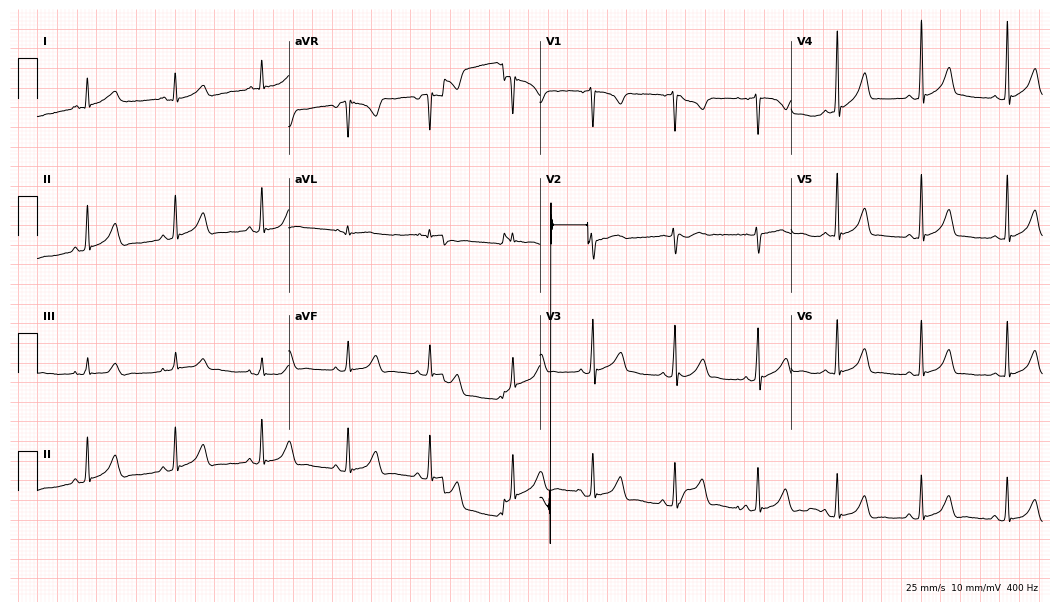
12-lead ECG (10.2-second recording at 400 Hz) from a 20-year-old female patient. Labelled as a normal ECG.